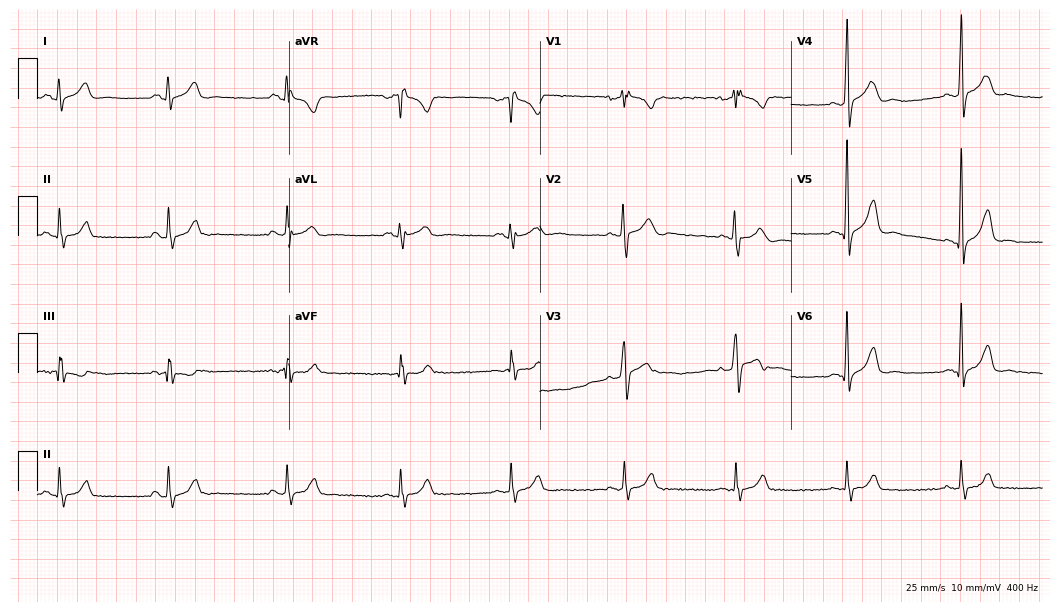
ECG — a male patient, 22 years old. Screened for six findings — first-degree AV block, right bundle branch block, left bundle branch block, sinus bradycardia, atrial fibrillation, sinus tachycardia — none is recorded.